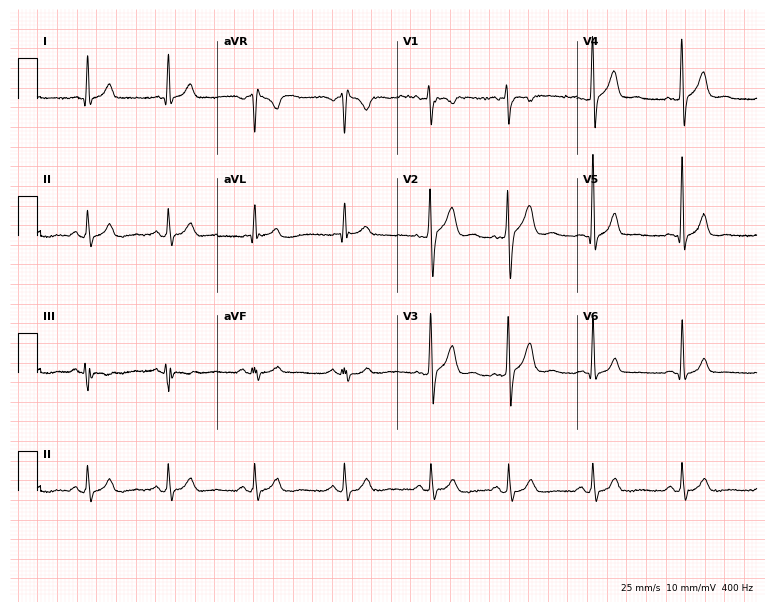
Electrocardiogram, a male patient, 23 years old. Overall reading on record: normal ECG.